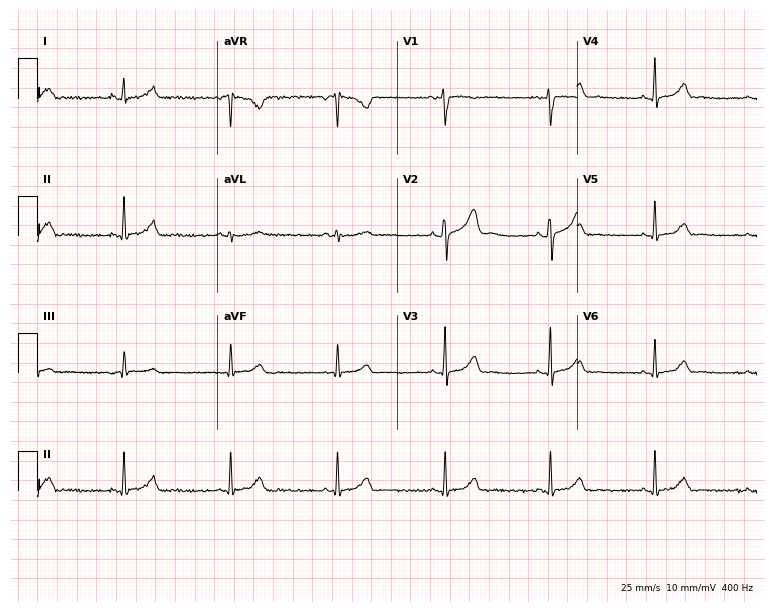
12-lead ECG from a 21-year-old female. No first-degree AV block, right bundle branch block, left bundle branch block, sinus bradycardia, atrial fibrillation or sinus tachycardia recorded for this tracing. Only these six findings were labelled.